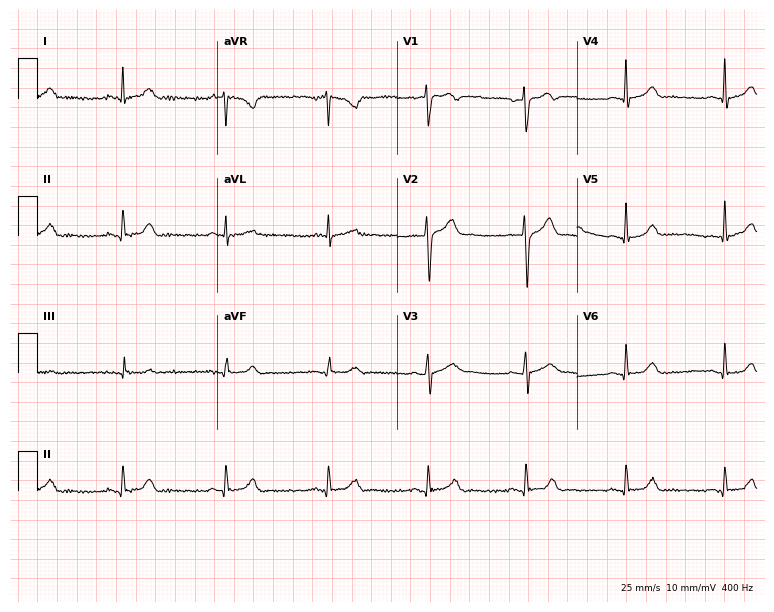
12-lead ECG (7.3-second recording at 400 Hz) from a man, 40 years old. Labelled as a normal ECG.